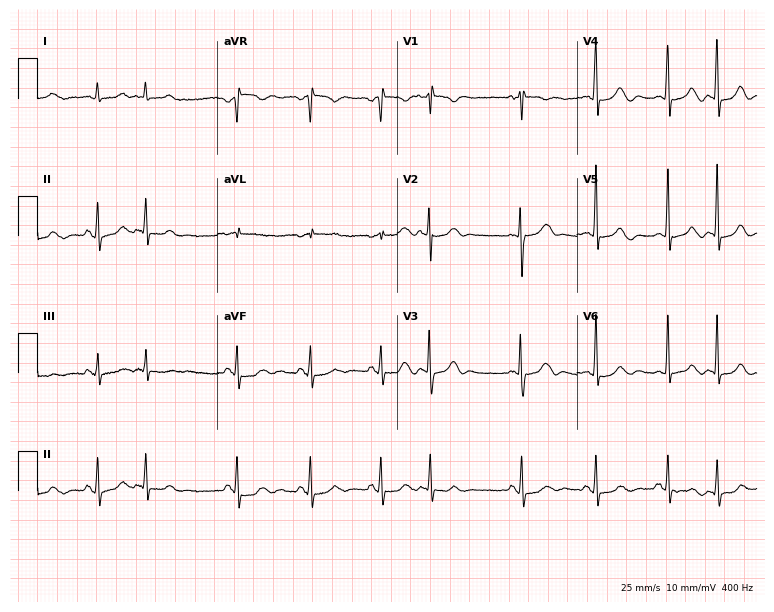
Electrocardiogram (7.3-second recording at 400 Hz), a 56-year-old female. Overall reading on record: normal ECG.